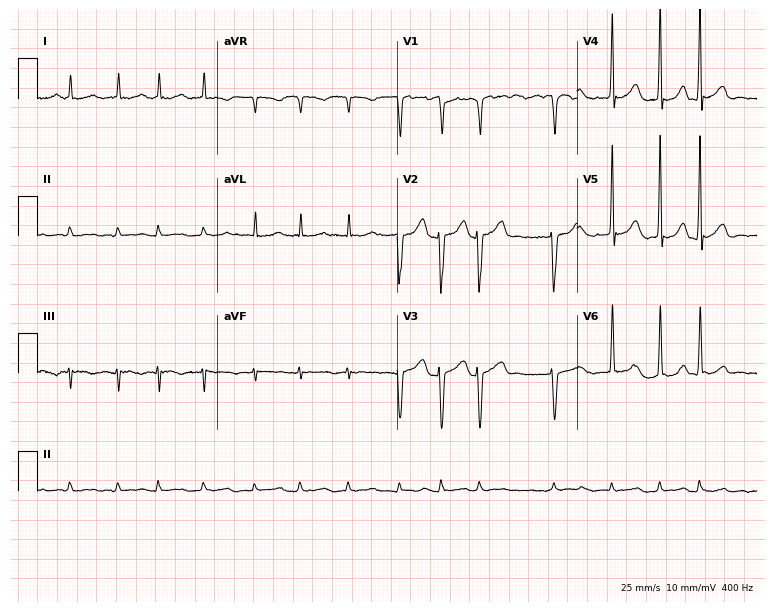
ECG — an 81-year-old woman. Findings include atrial fibrillation.